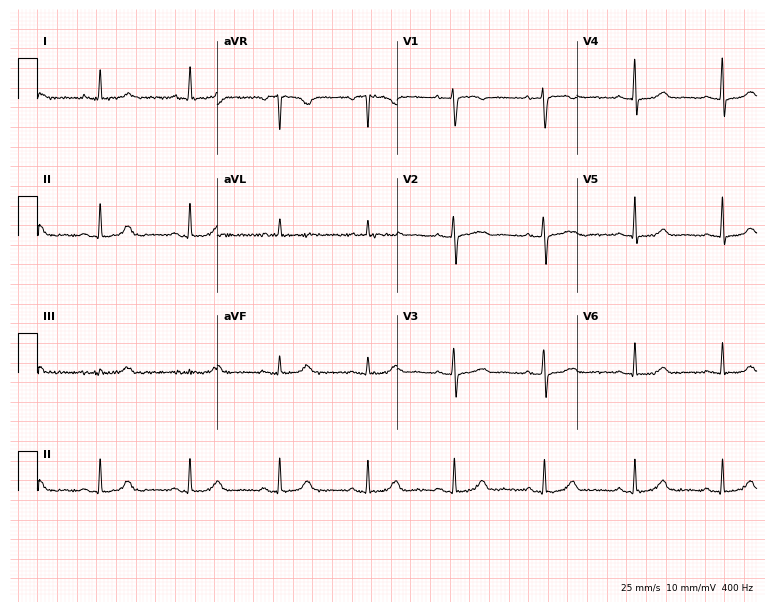
Electrocardiogram (7.3-second recording at 400 Hz), a woman, 52 years old. Of the six screened findings (first-degree AV block, right bundle branch block, left bundle branch block, sinus bradycardia, atrial fibrillation, sinus tachycardia), none is recorded. Findings outside these six are not listed.